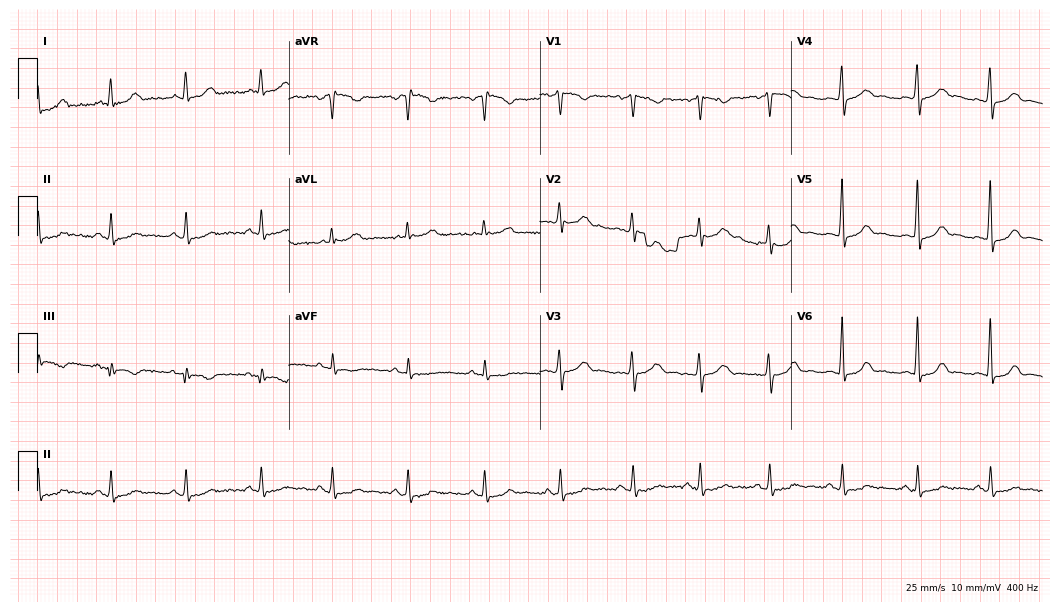
12-lead ECG from a 30-year-old woman (10.2-second recording at 400 Hz). Recorded interpretation: within normal limits.